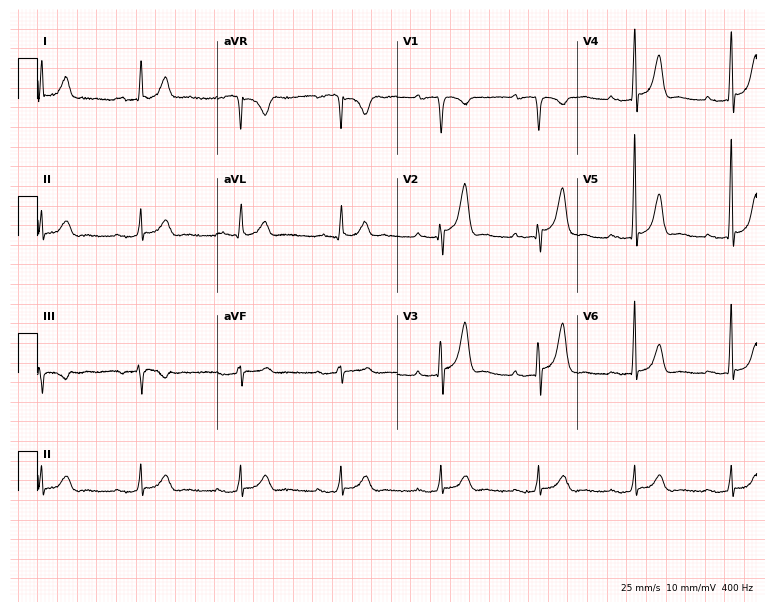
12-lead ECG from a 73-year-old woman. Shows first-degree AV block.